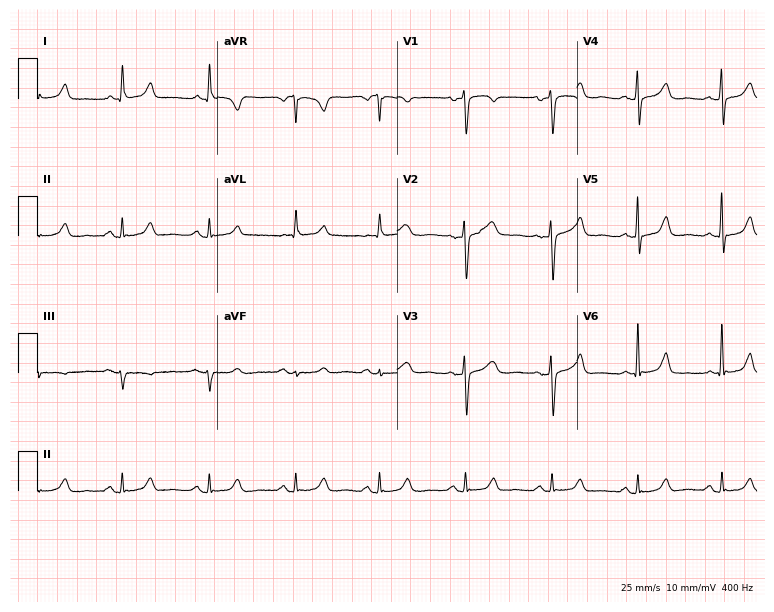
12-lead ECG (7.3-second recording at 400 Hz) from a woman, 56 years old. Labelled as a normal ECG.